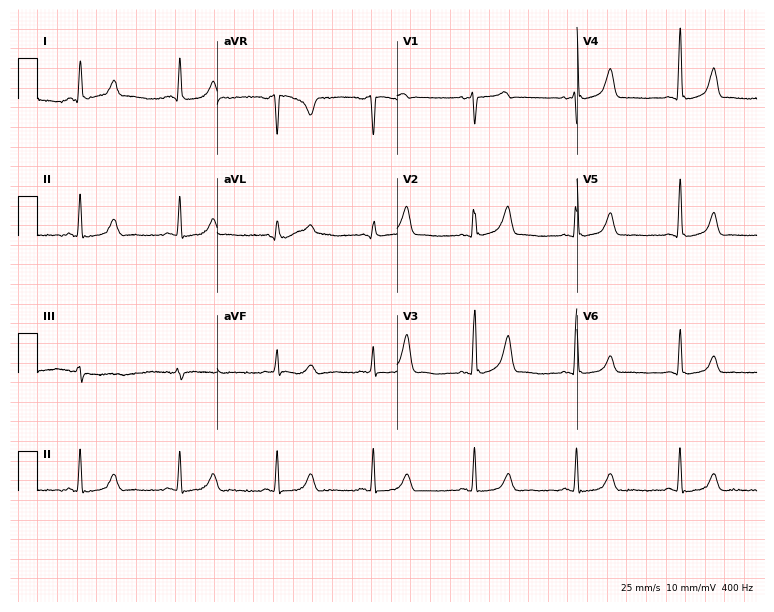
12-lead ECG from a woman, 53 years old. Recorded interpretation: within normal limits.